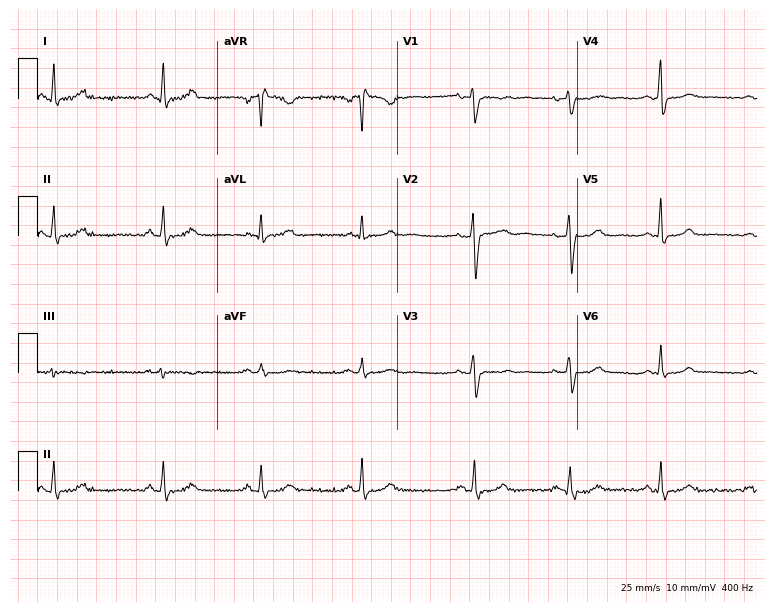
ECG — a woman, 38 years old. Screened for six findings — first-degree AV block, right bundle branch block, left bundle branch block, sinus bradycardia, atrial fibrillation, sinus tachycardia — none is recorded. Other findings, if any, are not listed.